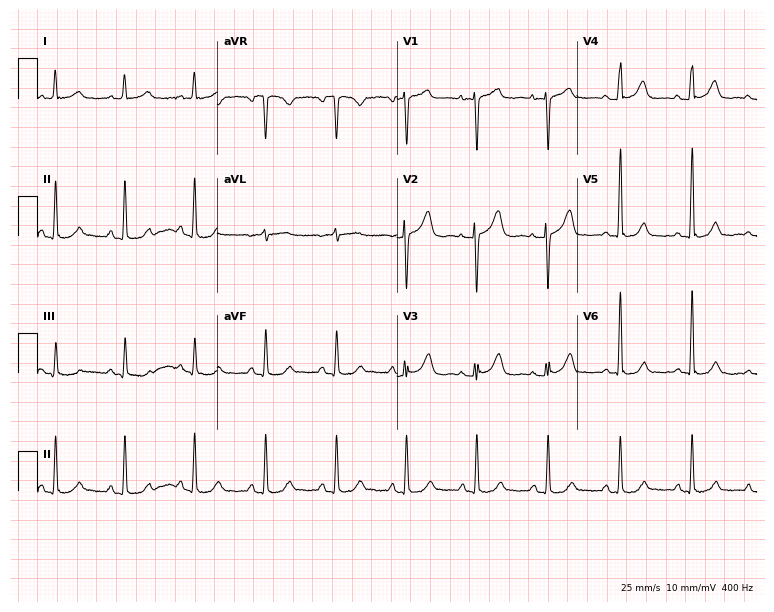
ECG (7.3-second recording at 400 Hz) — a 66-year-old woman. Screened for six findings — first-degree AV block, right bundle branch block (RBBB), left bundle branch block (LBBB), sinus bradycardia, atrial fibrillation (AF), sinus tachycardia — none is recorded. Other findings, if any, are not listed.